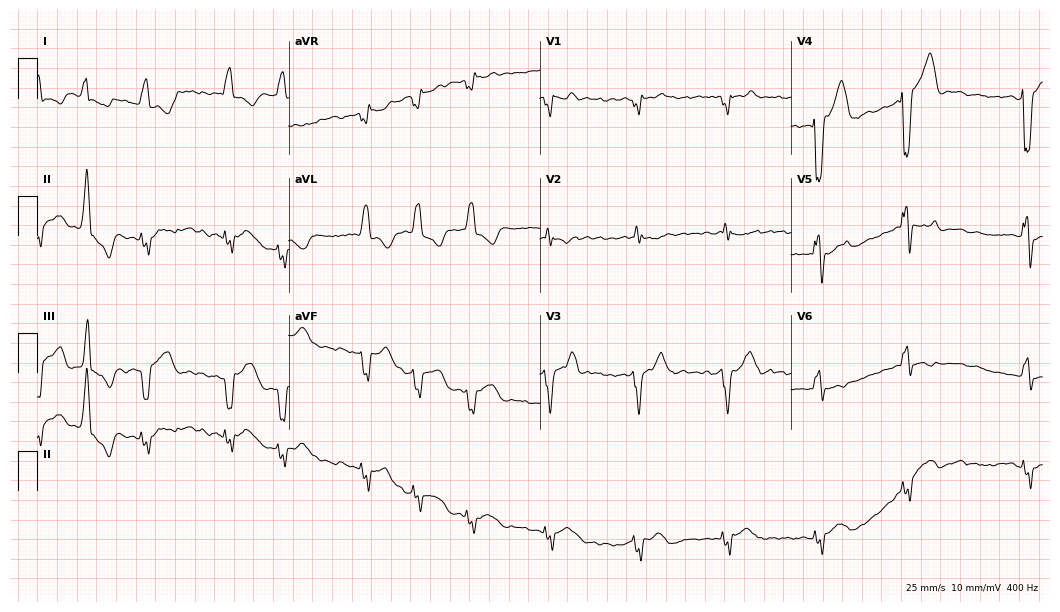
ECG — a female, 62 years old. Findings include left bundle branch block (LBBB), atrial fibrillation (AF).